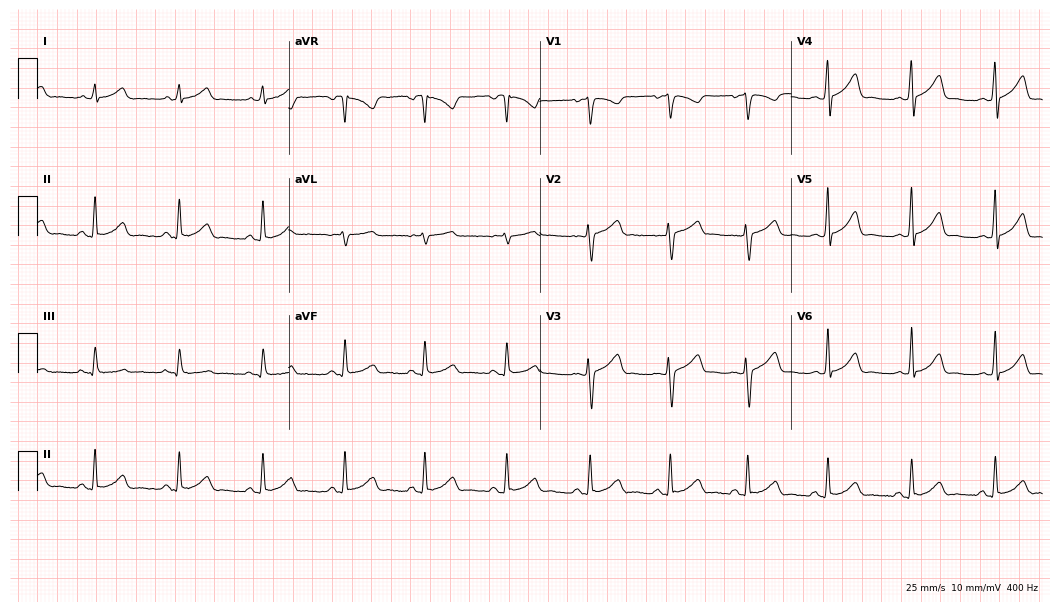
Standard 12-lead ECG recorded from a 34-year-old female patient. Read as a normal ECG.